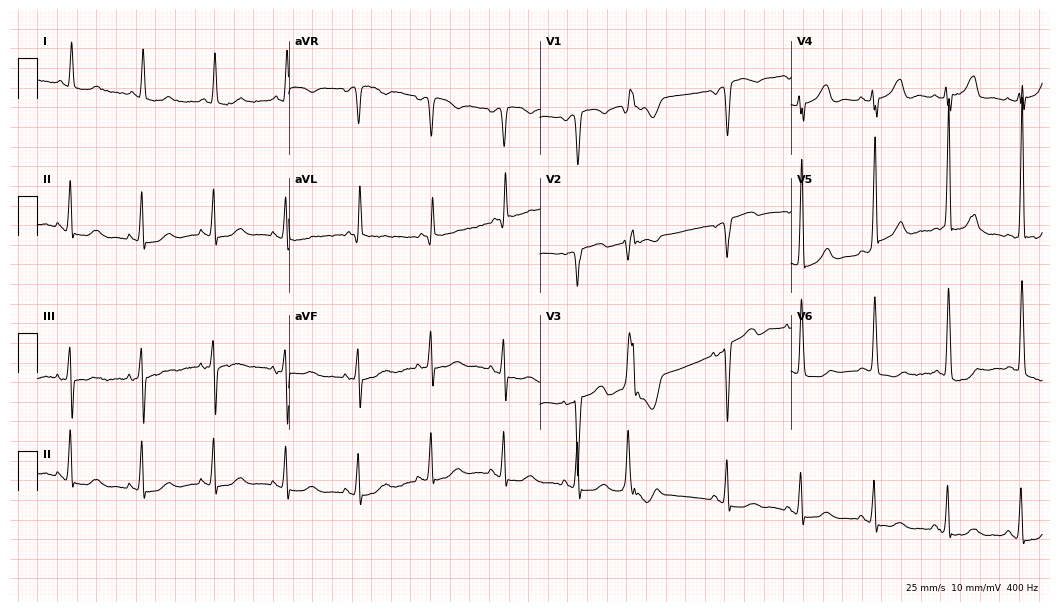
Electrocardiogram, a woman, 78 years old. Of the six screened findings (first-degree AV block, right bundle branch block (RBBB), left bundle branch block (LBBB), sinus bradycardia, atrial fibrillation (AF), sinus tachycardia), none is recorded.